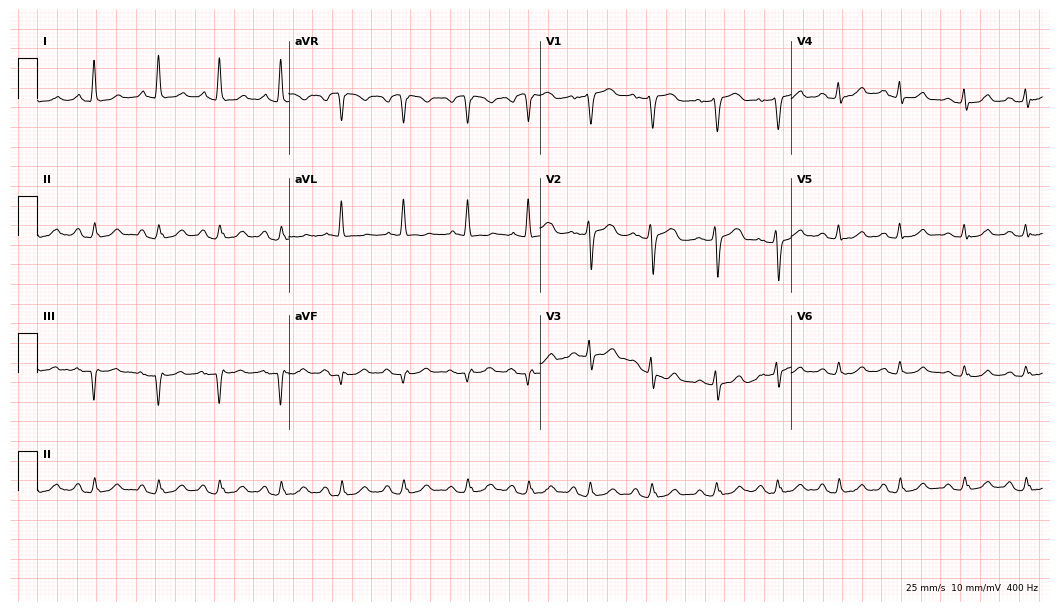
12-lead ECG from a woman, 69 years old. Screened for six findings — first-degree AV block, right bundle branch block, left bundle branch block, sinus bradycardia, atrial fibrillation, sinus tachycardia — none is recorded.